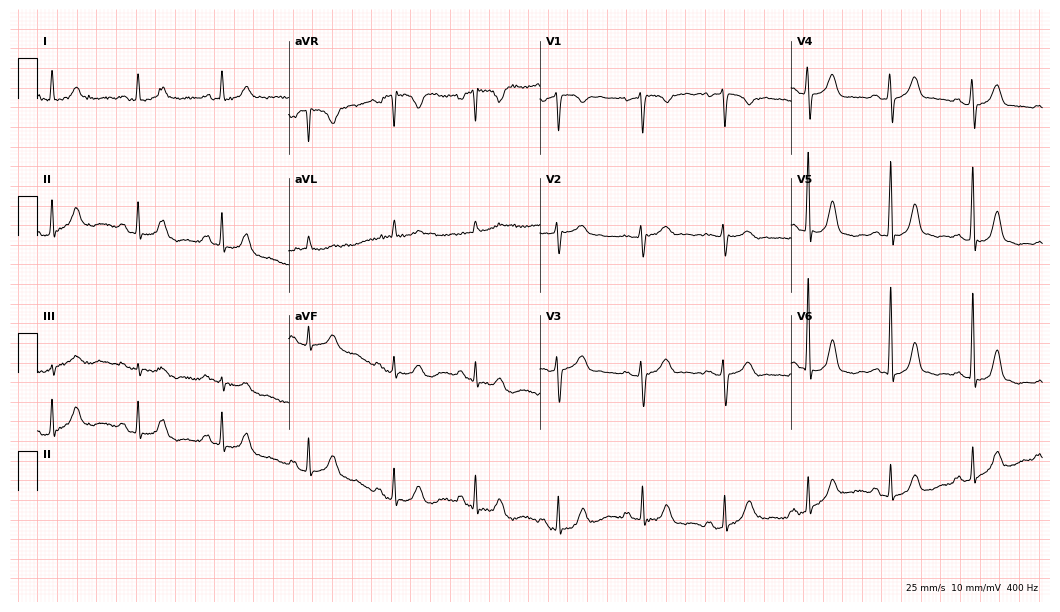
12-lead ECG (10.2-second recording at 400 Hz) from a 71-year-old female patient. Screened for six findings — first-degree AV block, right bundle branch block, left bundle branch block, sinus bradycardia, atrial fibrillation, sinus tachycardia — none is recorded. Only these six findings were labelled.